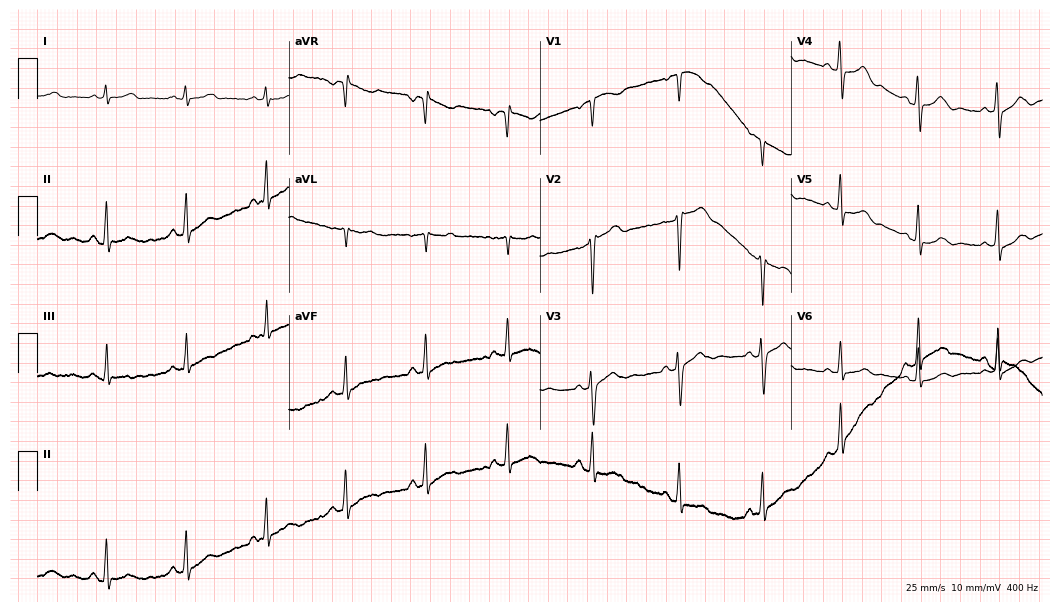
12-lead ECG (10.2-second recording at 400 Hz) from a woman, 32 years old. Screened for six findings — first-degree AV block, right bundle branch block (RBBB), left bundle branch block (LBBB), sinus bradycardia, atrial fibrillation (AF), sinus tachycardia — none is recorded. Findings outside these six are not listed.